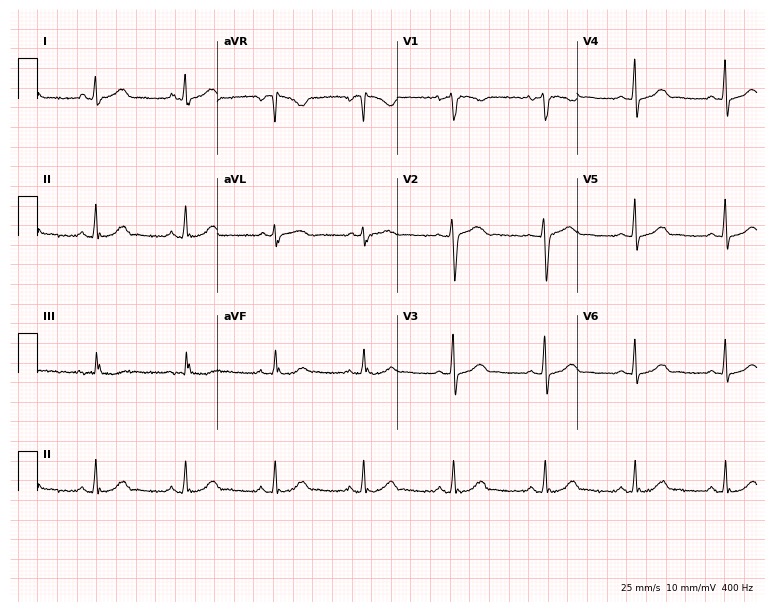
Electrocardiogram, a woman, 36 years old. Overall reading on record: normal ECG.